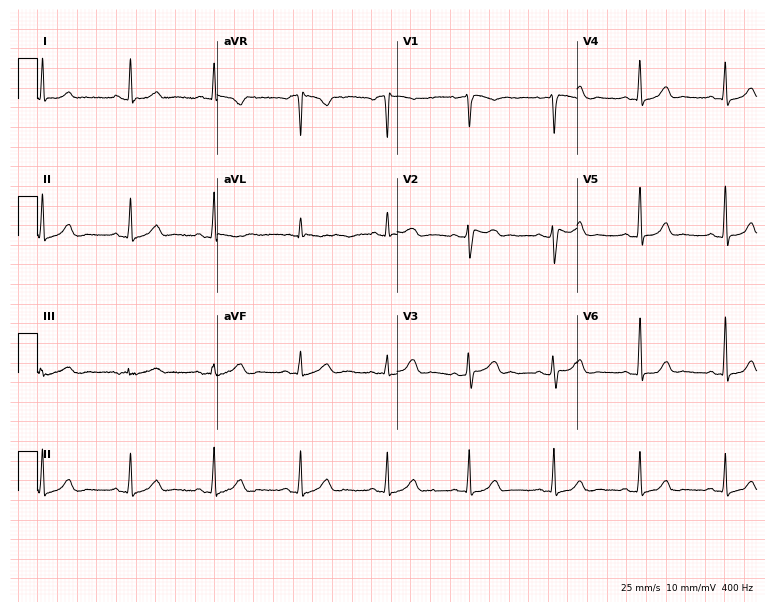
ECG — a female patient, 30 years old. Screened for six findings — first-degree AV block, right bundle branch block (RBBB), left bundle branch block (LBBB), sinus bradycardia, atrial fibrillation (AF), sinus tachycardia — none is recorded. Findings outside these six are not listed.